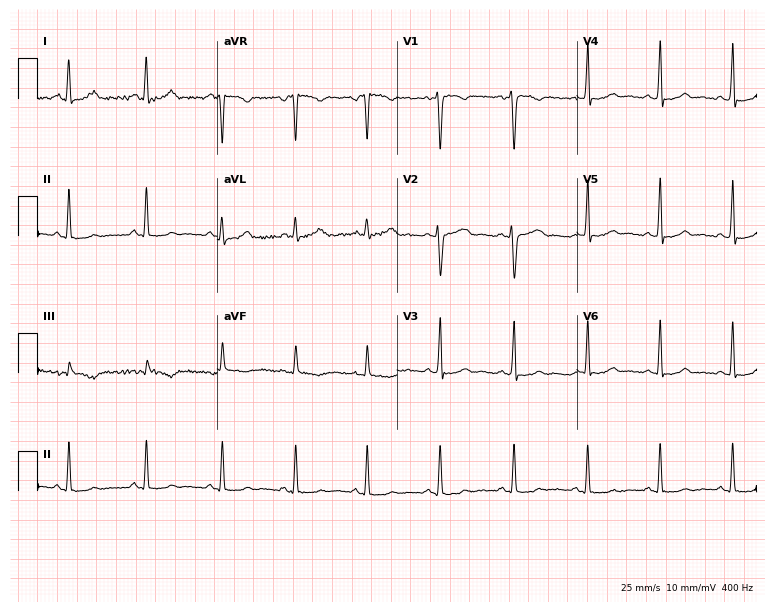
12-lead ECG (7.3-second recording at 400 Hz) from a 22-year-old woman. Screened for six findings — first-degree AV block, right bundle branch block, left bundle branch block, sinus bradycardia, atrial fibrillation, sinus tachycardia — none is recorded. Other findings, if any, are not listed.